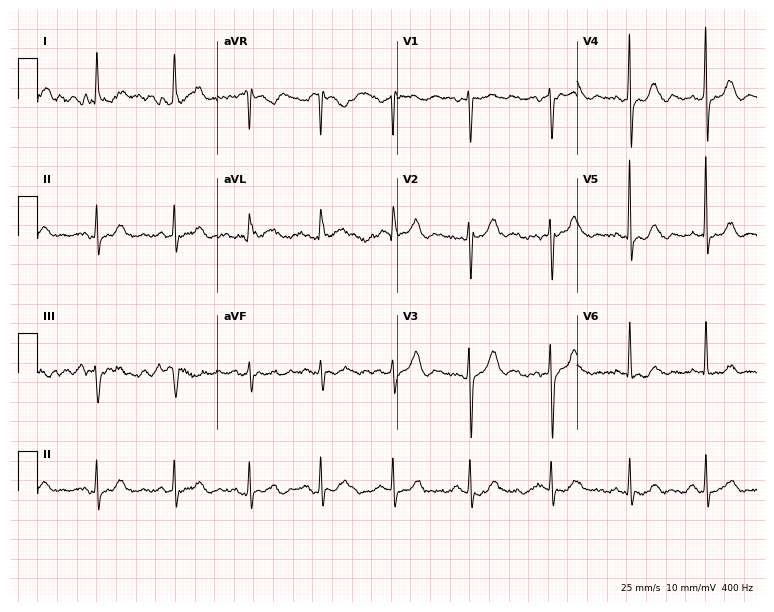
12-lead ECG (7.3-second recording at 400 Hz) from a female, 71 years old. Screened for six findings — first-degree AV block, right bundle branch block, left bundle branch block, sinus bradycardia, atrial fibrillation, sinus tachycardia — none is recorded. Only these six findings were labelled.